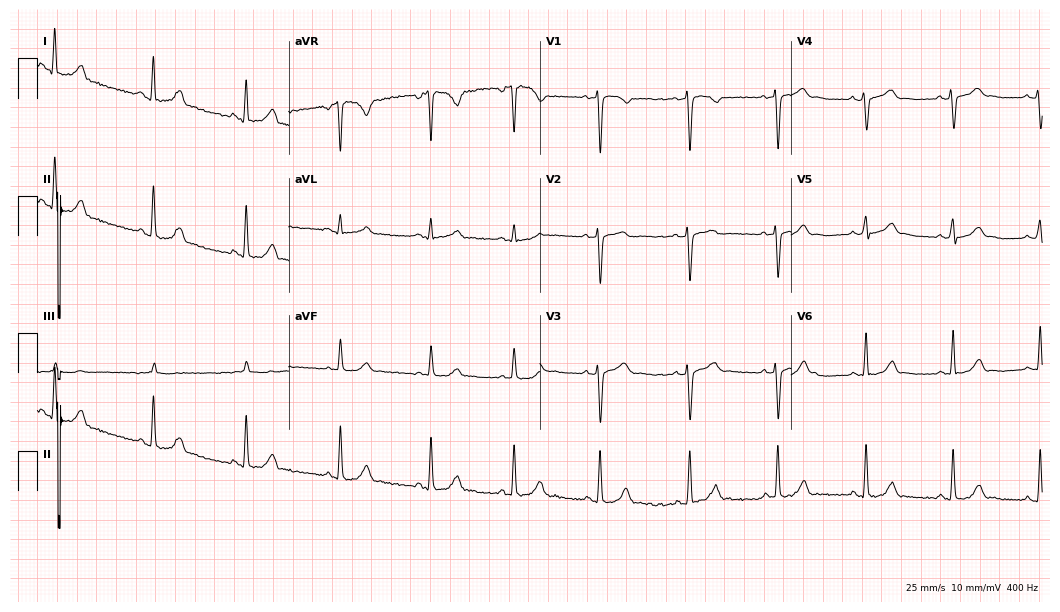
12-lead ECG (10.2-second recording at 400 Hz) from a 21-year-old woman. Labelled as a normal ECG.